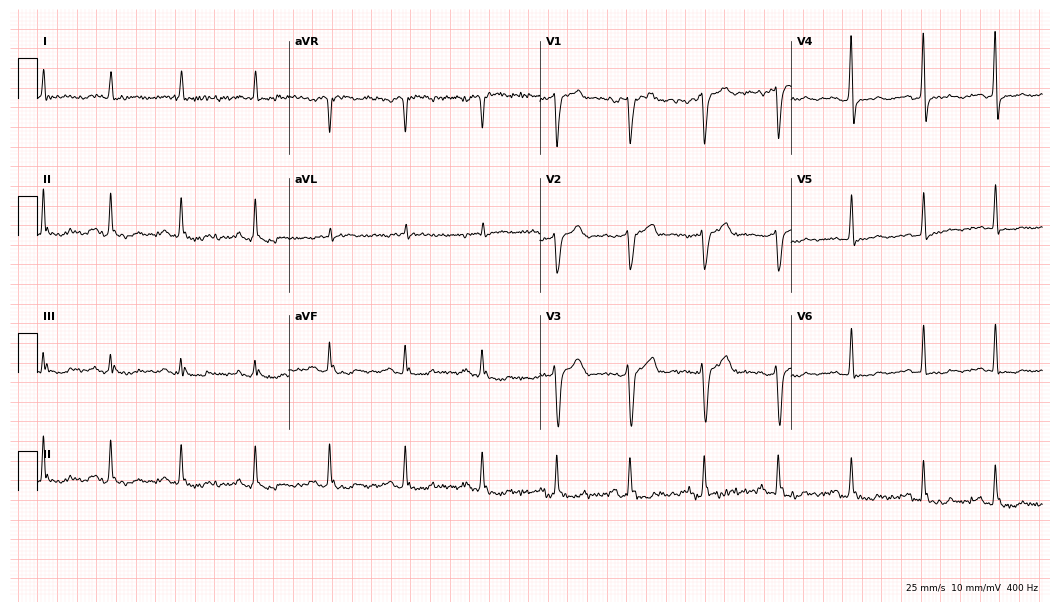
ECG (10.2-second recording at 400 Hz) — a male, 64 years old. Screened for six findings — first-degree AV block, right bundle branch block, left bundle branch block, sinus bradycardia, atrial fibrillation, sinus tachycardia — none is recorded.